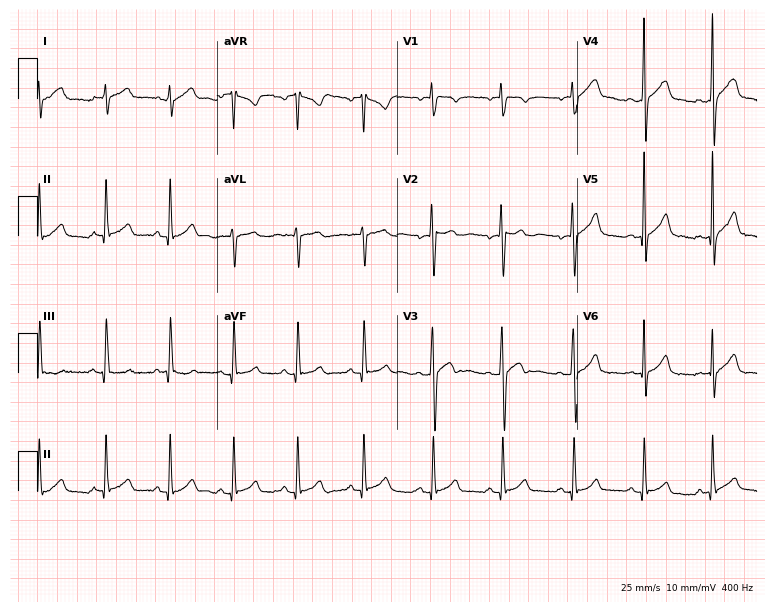
12-lead ECG from a 17-year-old male. Screened for six findings — first-degree AV block, right bundle branch block (RBBB), left bundle branch block (LBBB), sinus bradycardia, atrial fibrillation (AF), sinus tachycardia — none is recorded. Only these six findings were labelled.